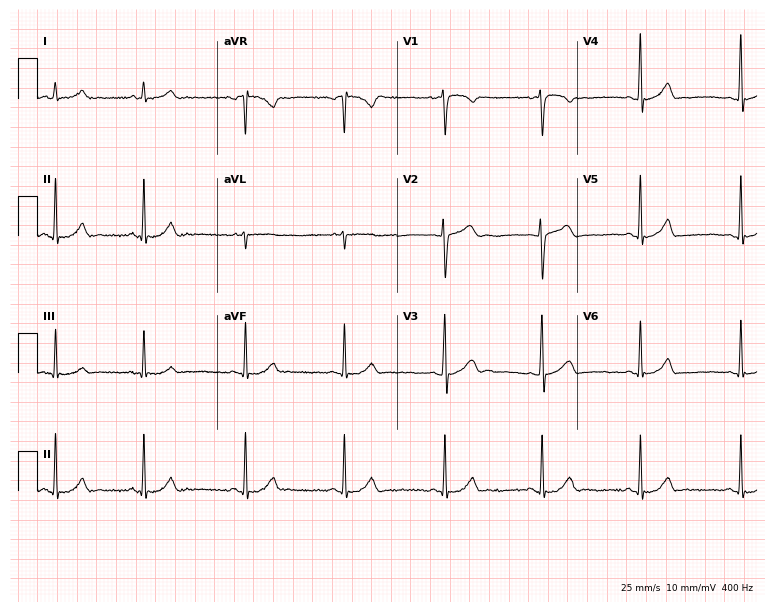
Standard 12-lead ECG recorded from a 26-year-old female (7.3-second recording at 400 Hz). Read as a normal ECG.